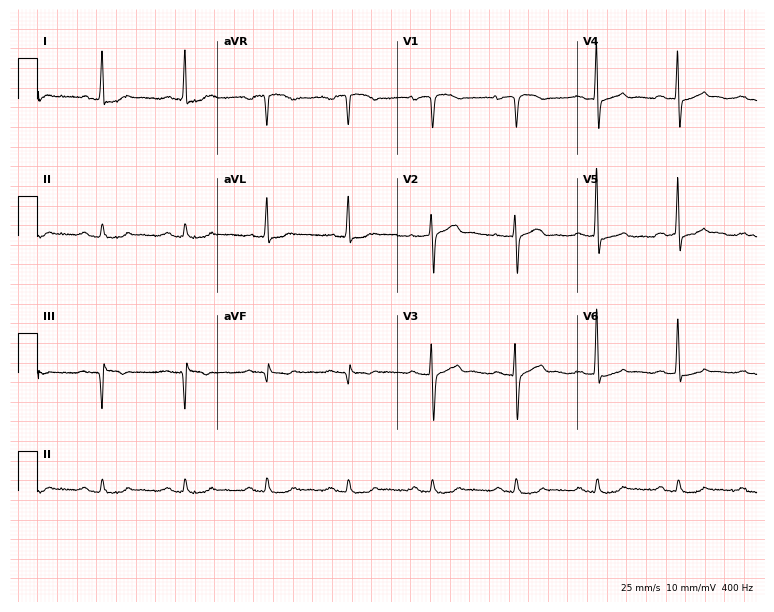
Resting 12-lead electrocardiogram. Patient: a 74-year-old male. None of these six findings is recorded: first-degree AV block, right bundle branch block (RBBB), left bundle branch block (LBBB), sinus bradycardia, atrial fibrillation (AF), sinus tachycardia. Only these six findings were labelled.